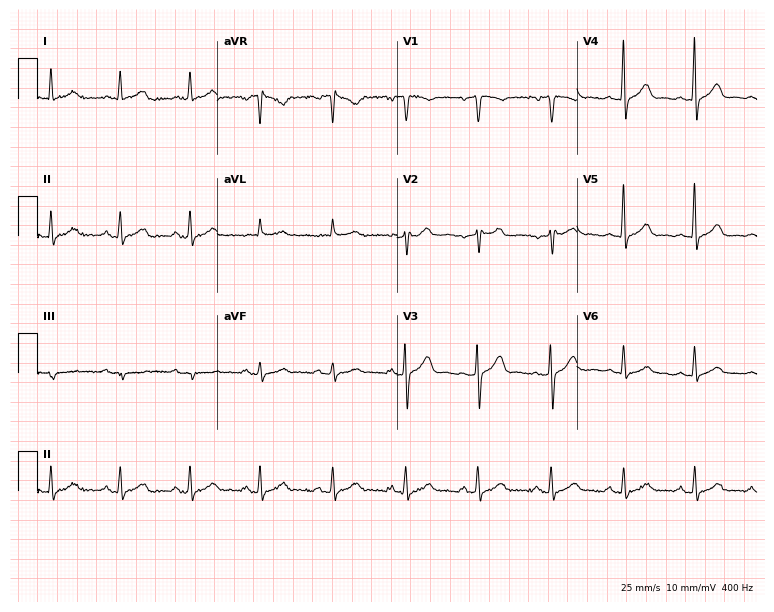
Electrocardiogram (7.3-second recording at 400 Hz), a male patient, 73 years old. Overall reading on record: normal ECG.